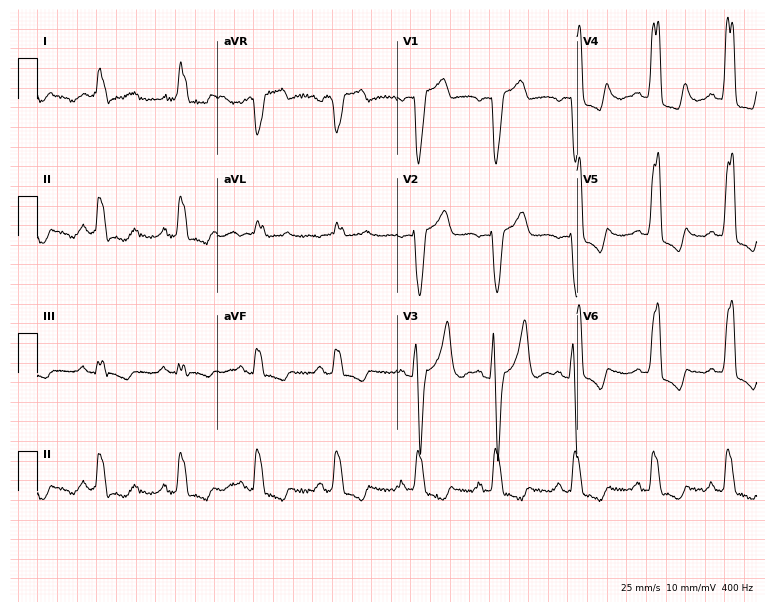
12-lead ECG from a woman, 72 years old (7.3-second recording at 400 Hz). Shows left bundle branch block.